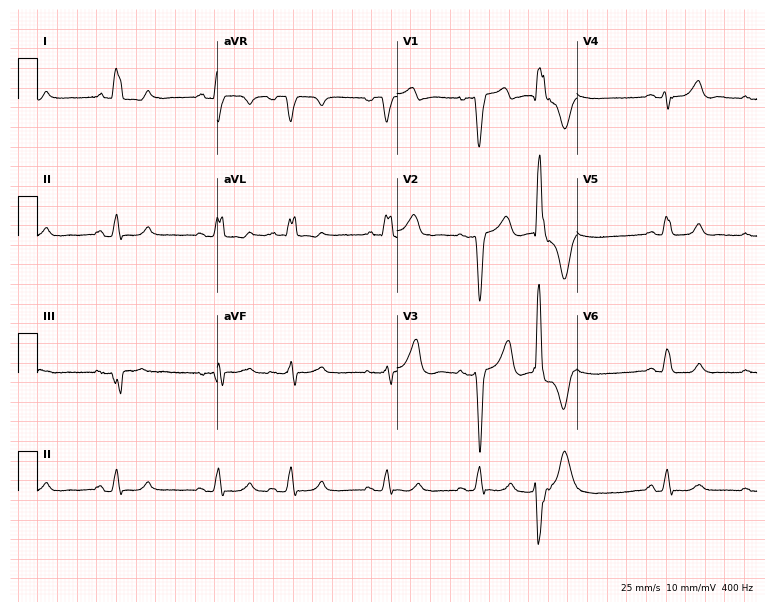
Resting 12-lead electrocardiogram. Patient: an 81-year-old woman. The tracing shows left bundle branch block.